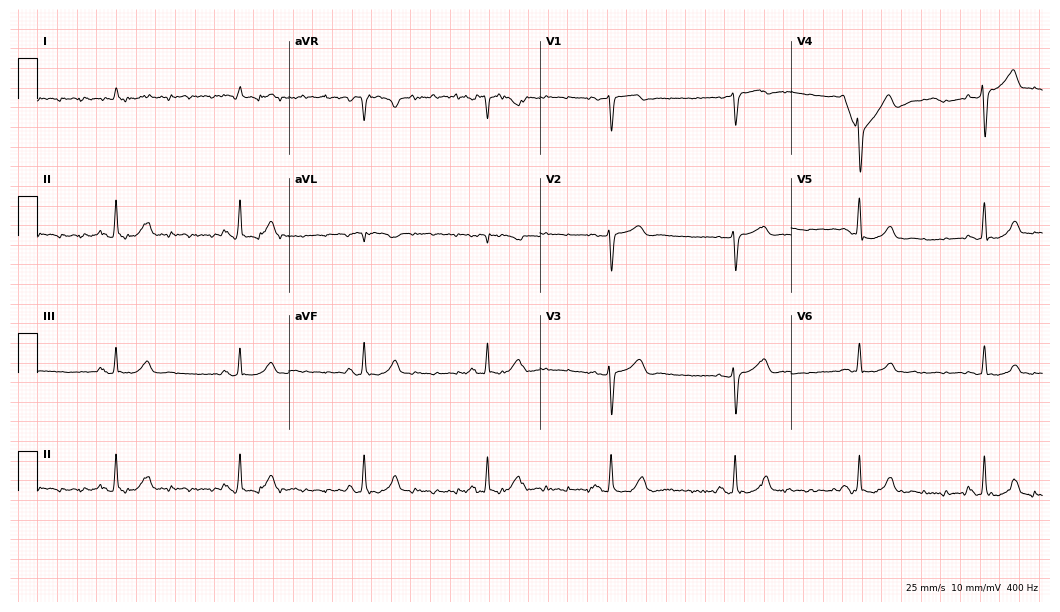
Standard 12-lead ECG recorded from a man, 81 years old (10.2-second recording at 400 Hz). The tracing shows sinus bradycardia (a sinus rate of 50 beats per minute or less).